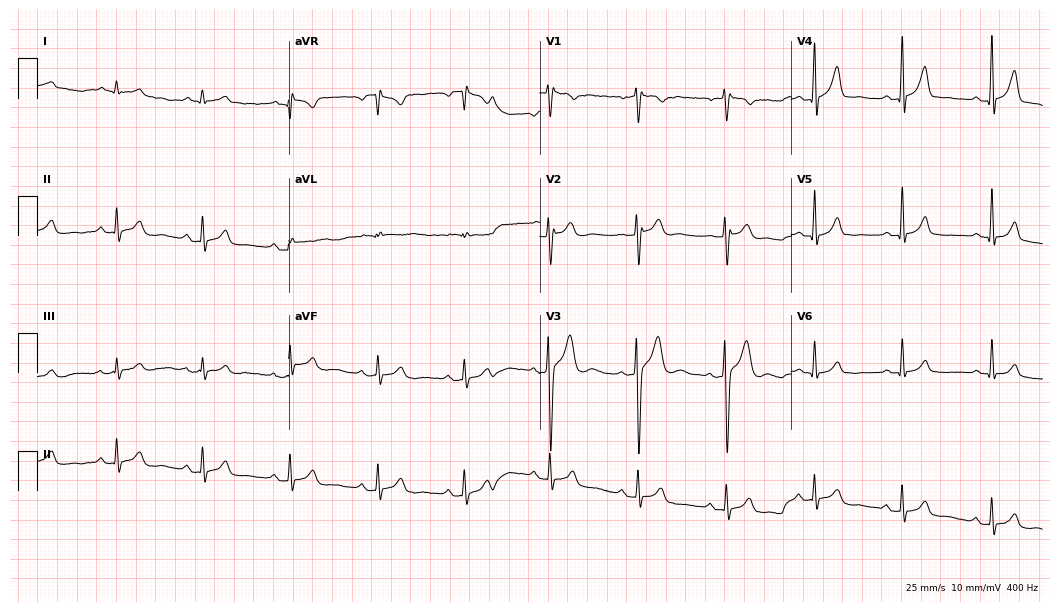
Resting 12-lead electrocardiogram. Patient: a man, 28 years old. Read as a normal ECG.